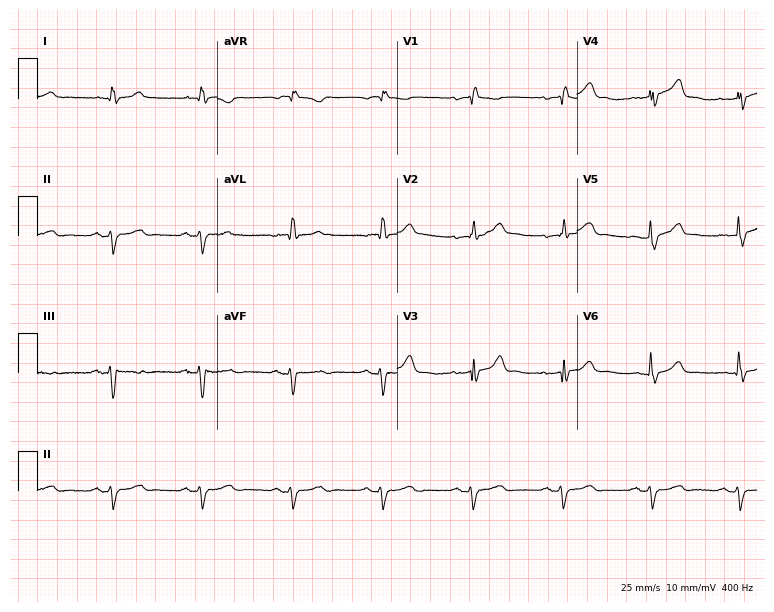
Electrocardiogram (7.3-second recording at 400 Hz), a man, 69 years old. Of the six screened findings (first-degree AV block, right bundle branch block, left bundle branch block, sinus bradycardia, atrial fibrillation, sinus tachycardia), none is recorded. Other findings, if any, are not listed.